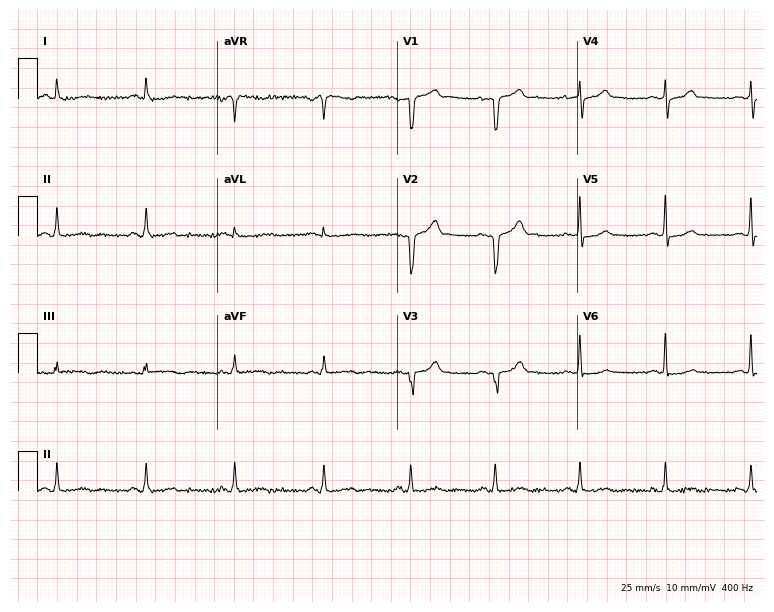
12-lead ECG (7.3-second recording at 400 Hz) from a 51-year-old male patient. Screened for six findings — first-degree AV block, right bundle branch block, left bundle branch block, sinus bradycardia, atrial fibrillation, sinus tachycardia — none is recorded. Other findings, if any, are not listed.